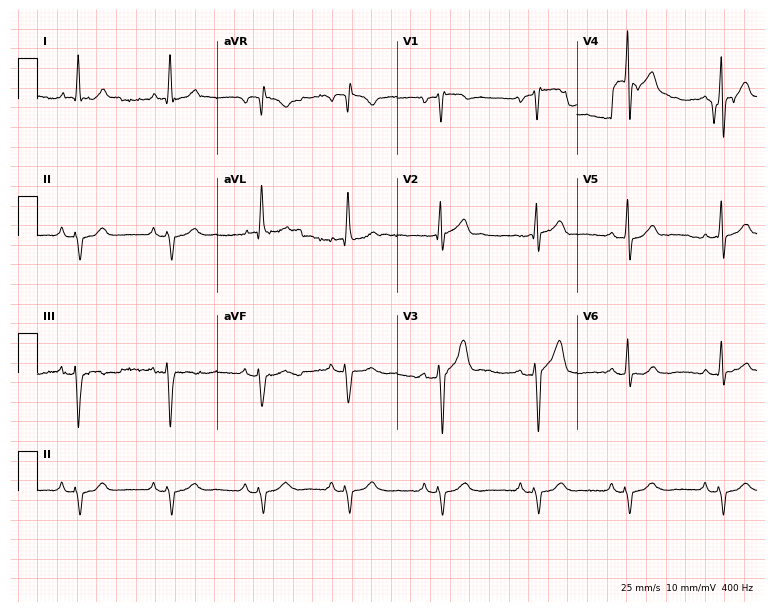
12-lead ECG from a 73-year-old male. Screened for six findings — first-degree AV block, right bundle branch block, left bundle branch block, sinus bradycardia, atrial fibrillation, sinus tachycardia — none is recorded.